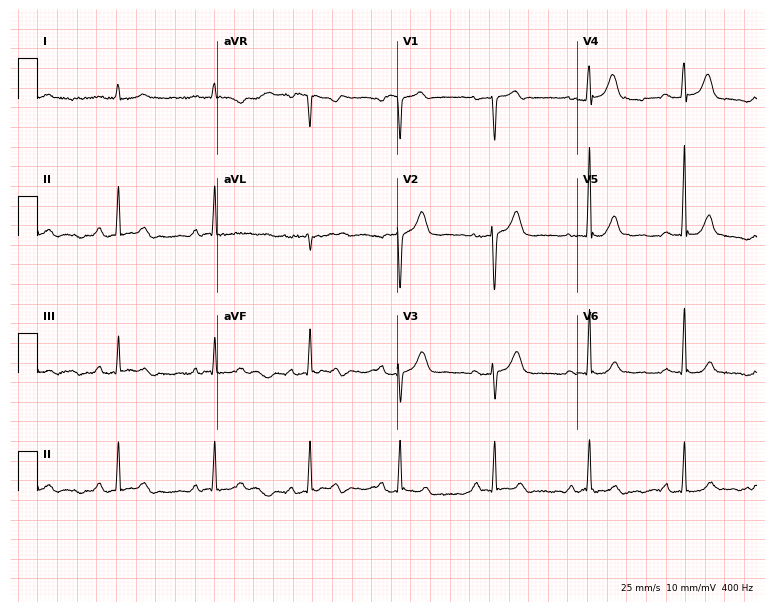
Electrocardiogram (7.3-second recording at 400 Hz), a 47-year-old woman. Of the six screened findings (first-degree AV block, right bundle branch block (RBBB), left bundle branch block (LBBB), sinus bradycardia, atrial fibrillation (AF), sinus tachycardia), none is recorded. Other findings, if any, are not listed.